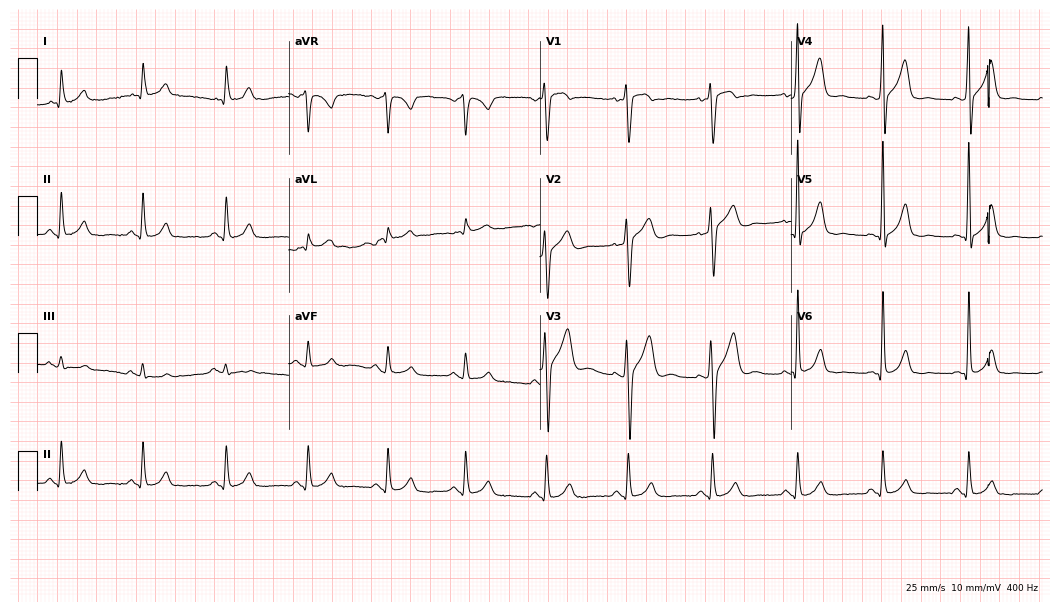
Electrocardiogram (10.2-second recording at 400 Hz), a 54-year-old male patient. Overall reading on record: normal ECG.